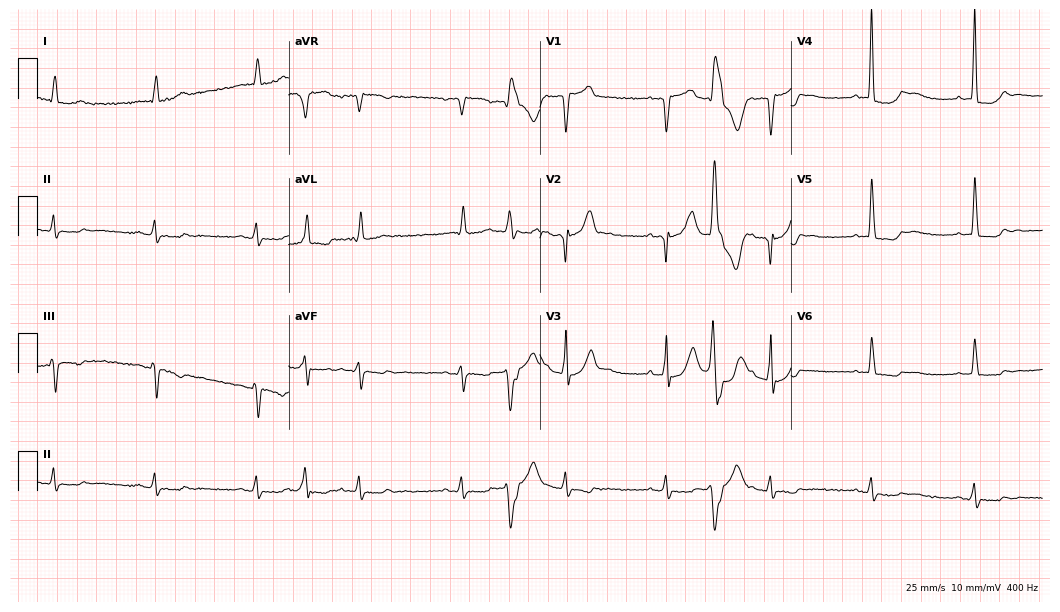
Standard 12-lead ECG recorded from a man, 73 years old (10.2-second recording at 400 Hz). None of these six findings is recorded: first-degree AV block, right bundle branch block, left bundle branch block, sinus bradycardia, atrial fibrillation, sinus tachycardia.